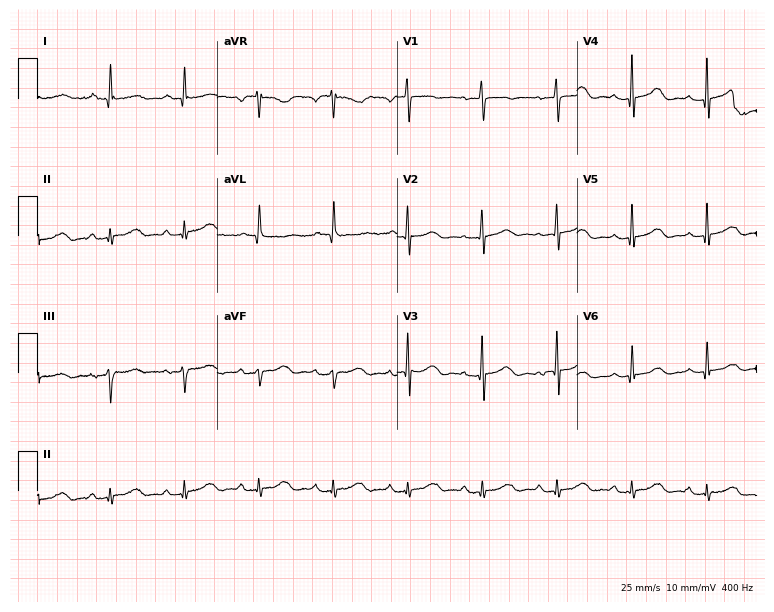
ECG — a female patient, 85 years old. Labelled as a normal ECG.